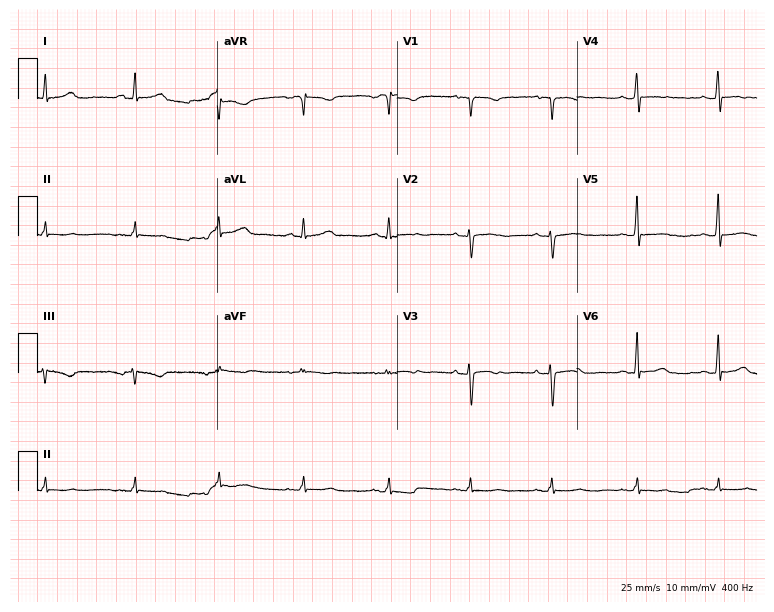
Resting 12-lead electrocardiogram (7.3-second recording at 400 Hz). Patient: a female, 40 years old. None of these six findings is recorded: first-degree AV block, right bundle branch block (RBBB), left bundle branch block (LBBB), sinus bradycardia, atrial fibrillation (AF), sinus tachycardia.